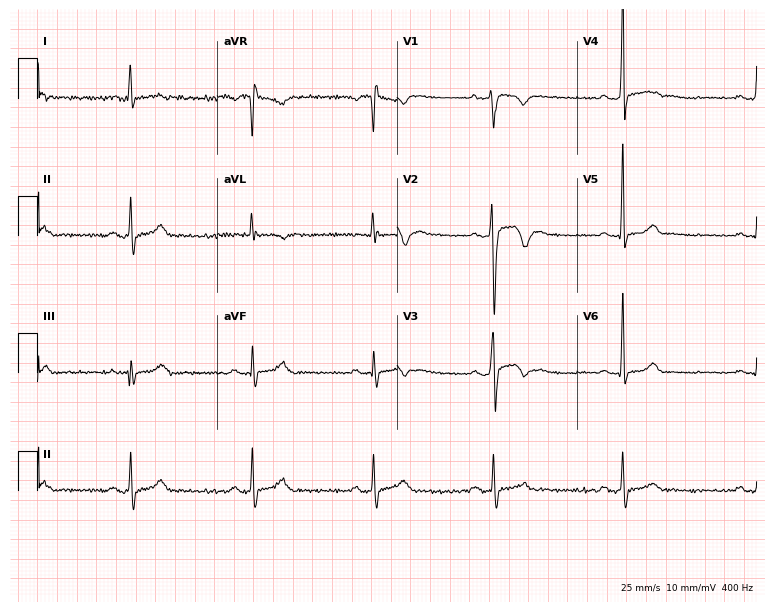
Resting 12-lead electrocardiogram (7.3-second recording at 400 Hz). Patient: a 28-year-old male. The tracing shows sinus bradycardia (a sinus rate of 50 beats per minute or less).